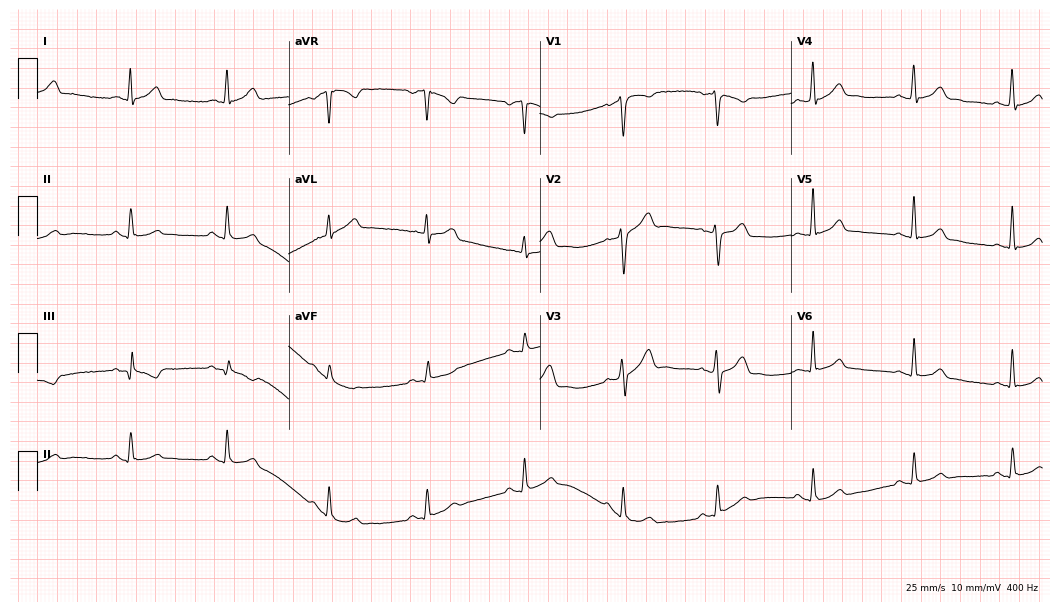
Electrocardiogram, a male, 33 years old. Overall reading on record: normal ECG.